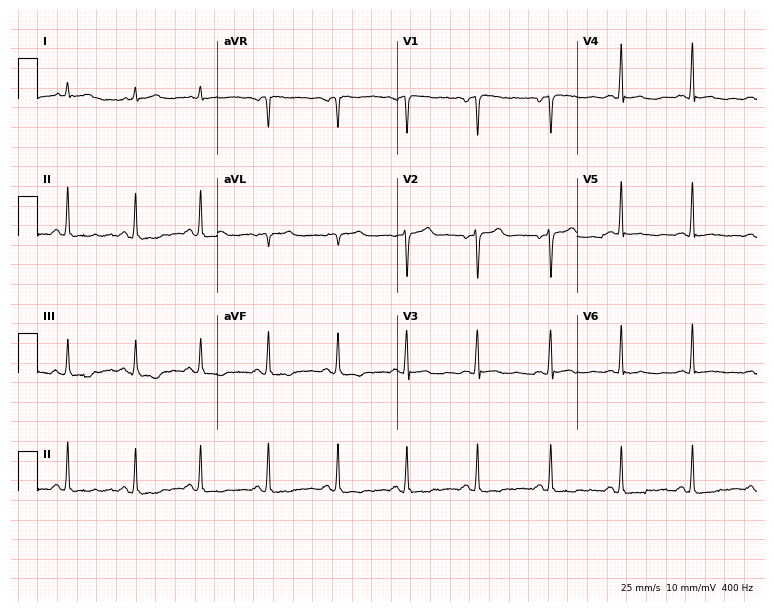
Standard 12-lead ECG recorded from a male patient, 33 years old (7.3-second recording at 400 Hz). None of these six findings is recorded: first-degree AV block, right bundle branch block, left bundle branch block, sinus bradycardia, atrial fibrillation, sinus tachycardia. Findings outside these six are not listed.